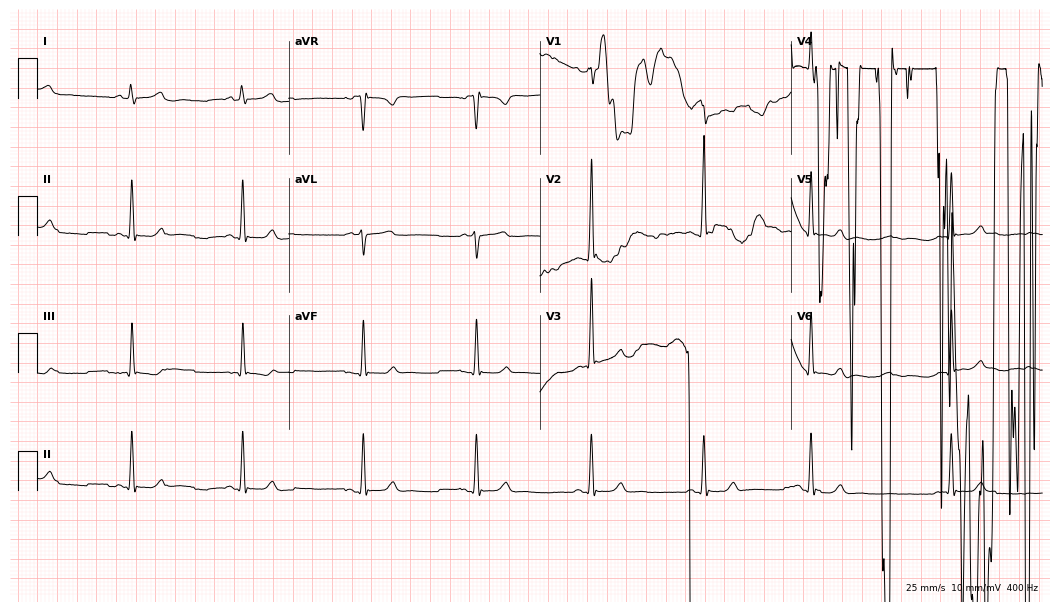
Standard 12-lead ECG recorded from a 17-year-old male (10.2-second recording at 400 Hz). None of these six findings is recorded: first-degree AV block, right bundle branch block (RBBB), left bundle branch block (LBBB), sinus bradycardia, atrial fibrillation (AF), sinus tachycardia.